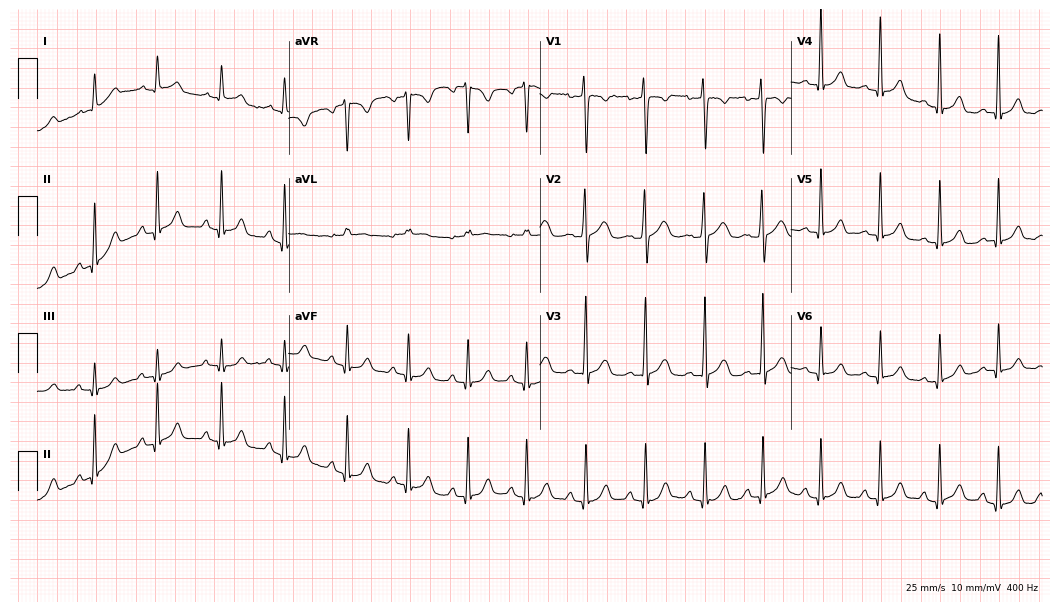
Standard 12-lead ECG recorded from a 27-year-old female patient. Read as a normal ECG.